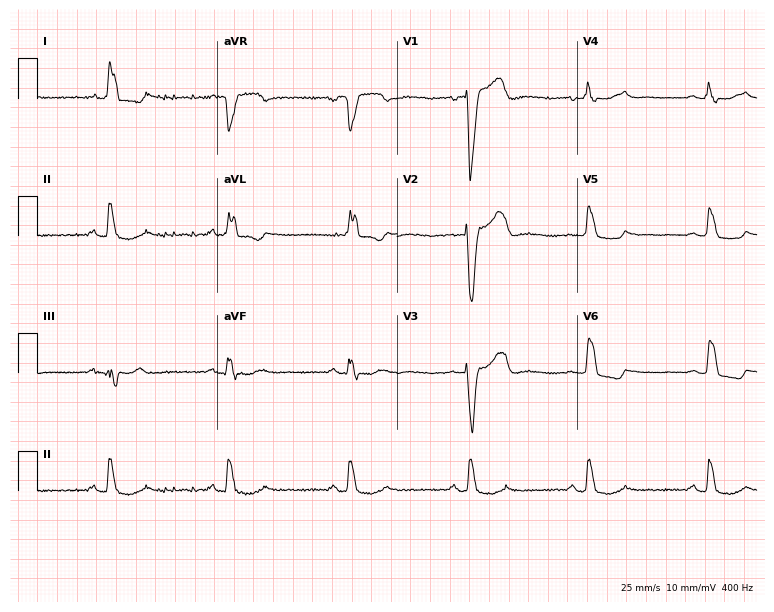
12-lead ECG from a 73-year-old female patient. Screened for six findings — first-degree AV block, right bundle branch block (RBBB), left bundle branch block (LBBB), sinus bradycardia, atrial fibrillation (AF), sinus tachycardia — none is recorded. Other findings, if any, are not listed.